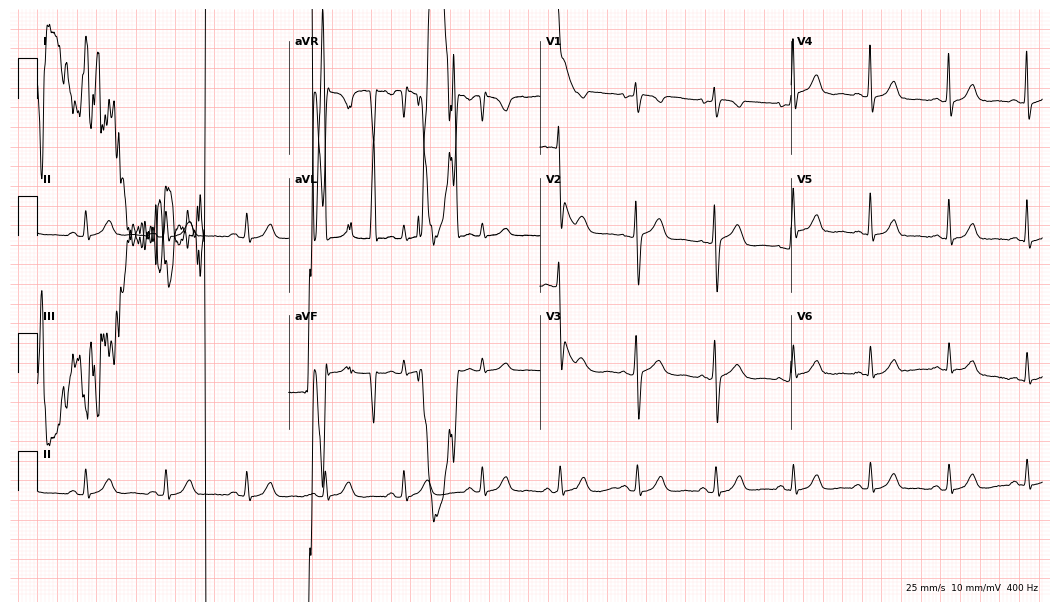
Electrocardiogram (10.2-second recording at 400 Hz), a male patient, 39 years old. Of the six screened findings (first-degree AV block, right bundle branch block, left bundle branch block, sinus bradycardia, atrial fibrillation, sinus tachycardia), none is recorded. Other findings, if any, are not listed.